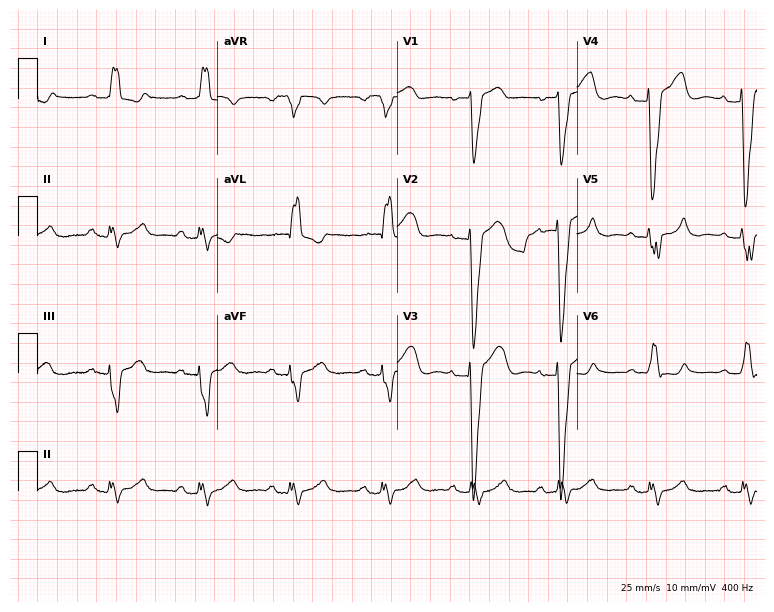
12-lead ECG from a 68-year-old female patient (7.3-second recording at 400 Hz). Shows left bundle branch block (LBBB).